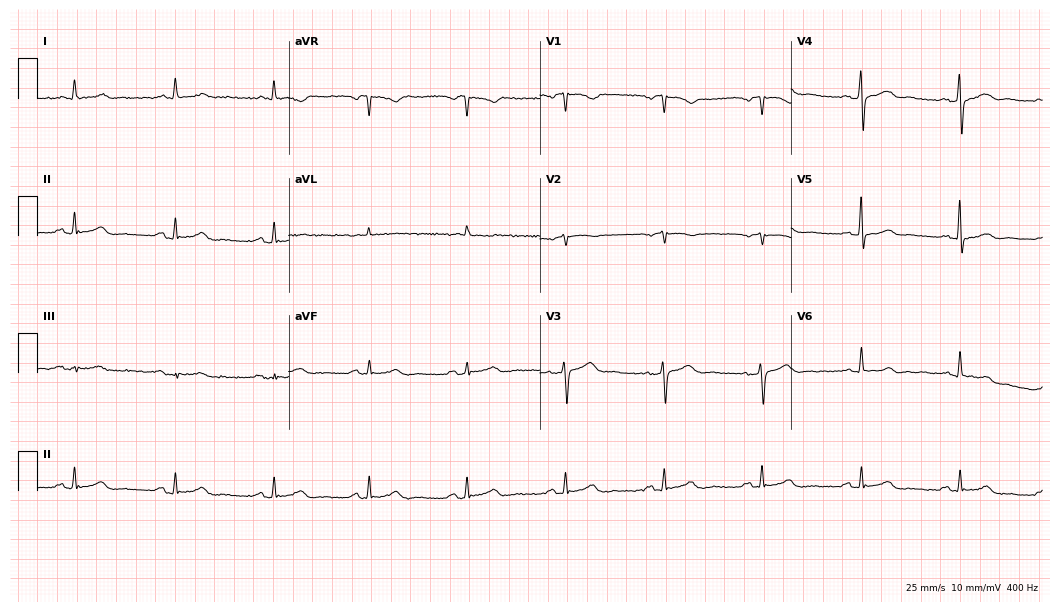
Standard 12-lead ECG recorded from a 50-year-old female patient (10.2-second recording at 400 Hz). None of these six findings is recorded: first-degree AV block, right bundle branch block (RBBB), left bundle branch block (LBBB), sinus bradycardia, atrial fibrillation (AF), sinus tachycardia.